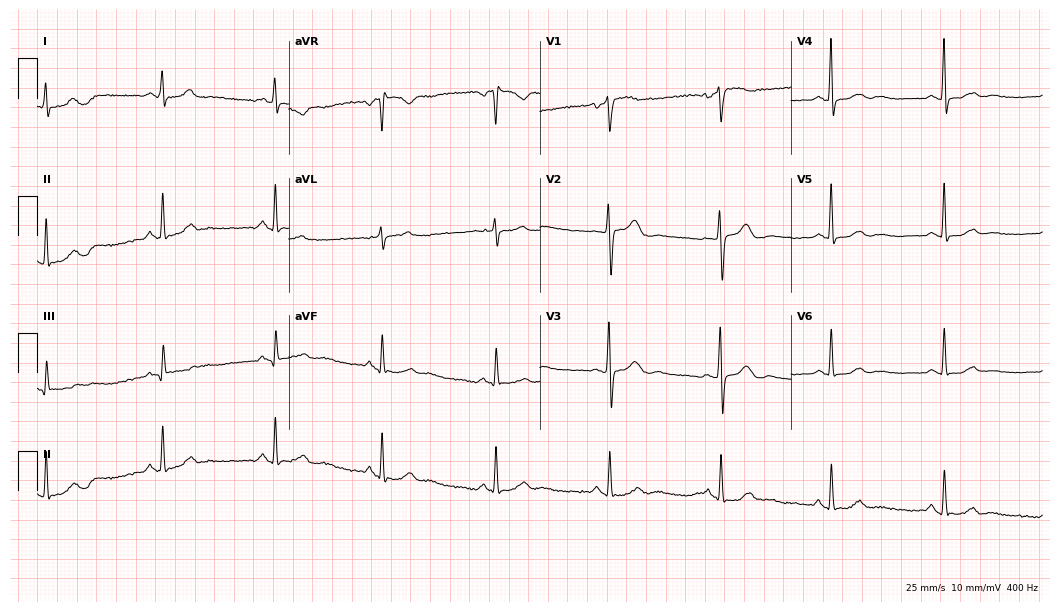
Resting 12-lead electrocardiogram (10.2-second recording at 400 Hz). Patient: a woman, 49 years old. Read as a normal ECG.